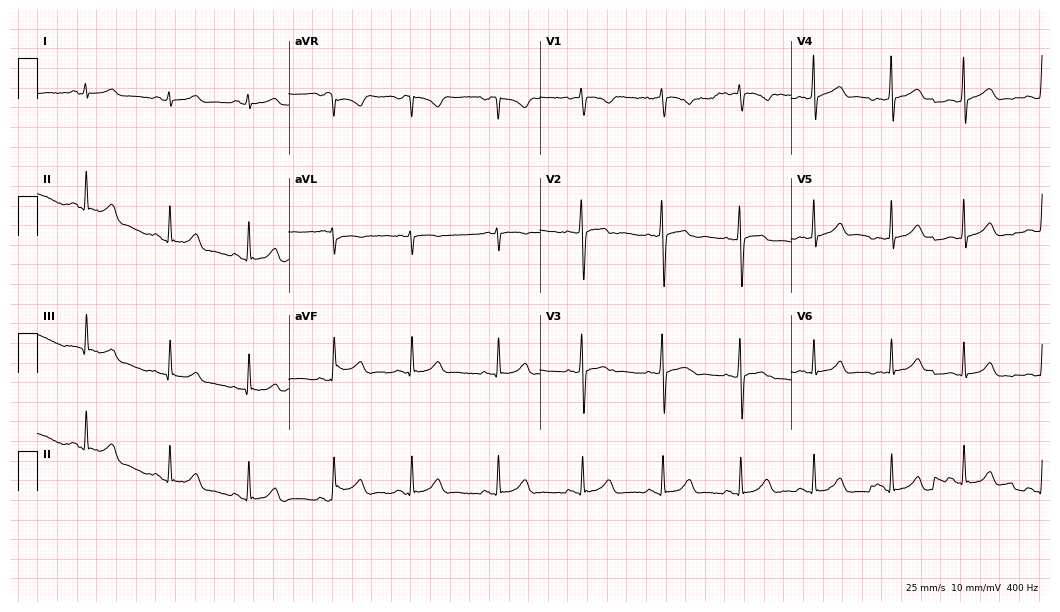
Electrocardiogram (10.2-second recording at 400 Hz), a female, 17 years old. Overall reading on record: normal ECG.